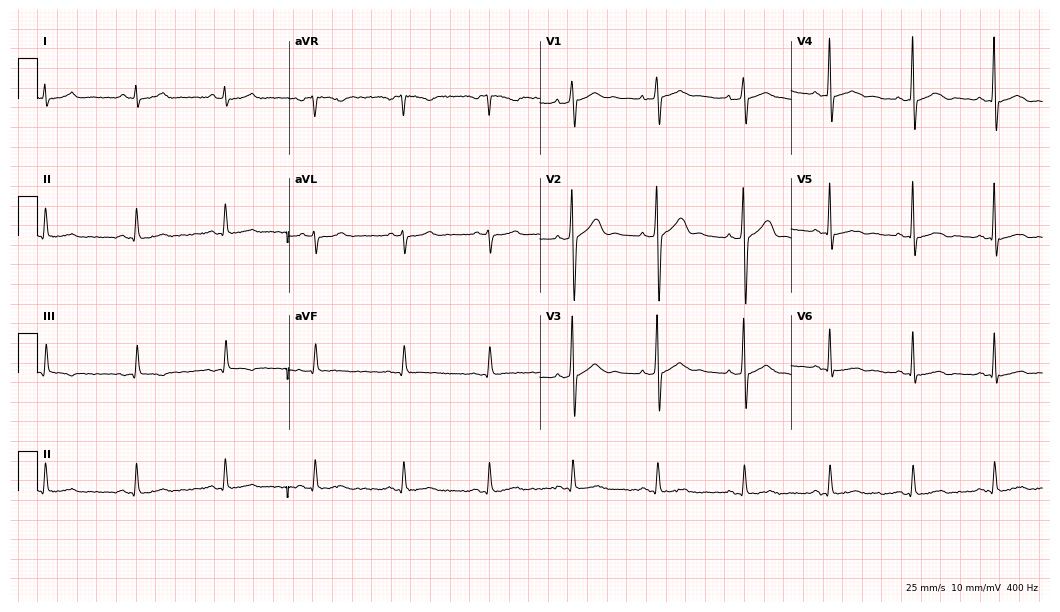
12-lead ECG (10.2-second recording at 400 Hz) from a male patient, 41 years old. Labelled as a normal ECG.